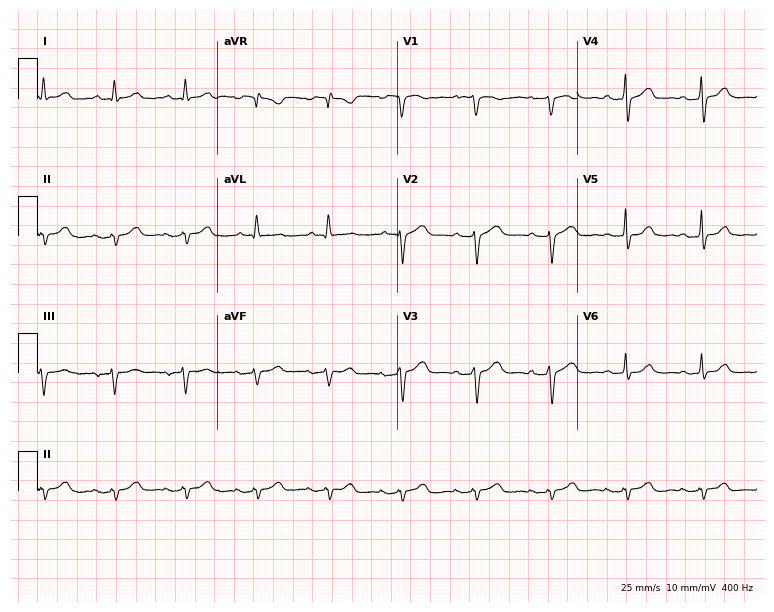
Resting 12-lead electrocardiogram (7.3-second recording at 400 Hz). Patient: a male, 50 years old. None of these six findings is recorded: first-degree AV block, right bundle branch block, left bundle branch block, sinus bradycardia, atrial fibrillation, sinus tachycardia.